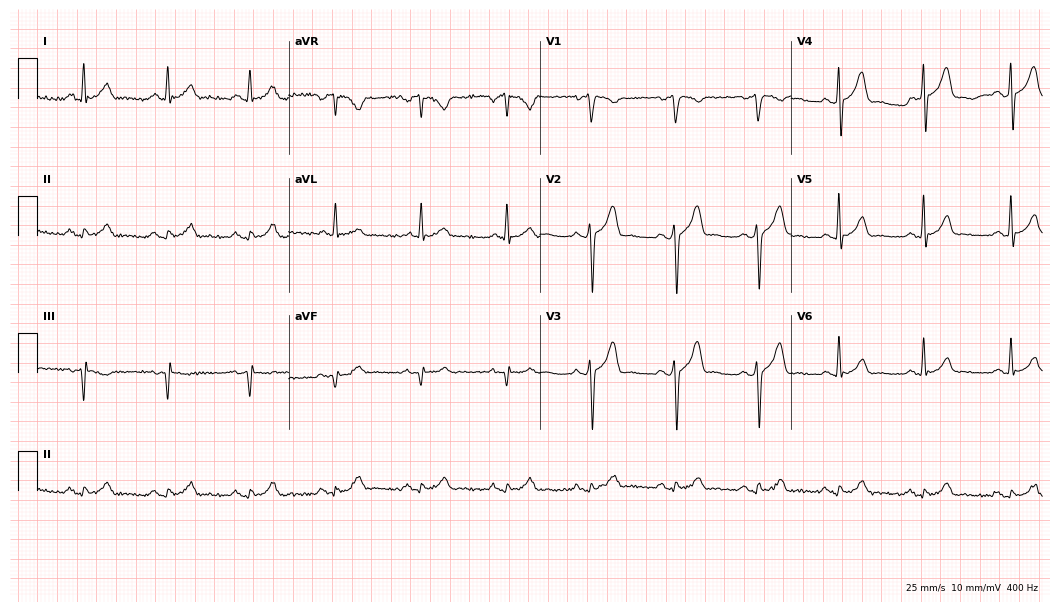
Standard 12-lead ECG recorded from a 45-year-old male. None of these six findings is recorded: first-degree AV block, right bundle branch block (RBBB), left bundle branch block (LBBB), sinus bradycardia, atrial fibrillation (AF), sinus tachycardia.